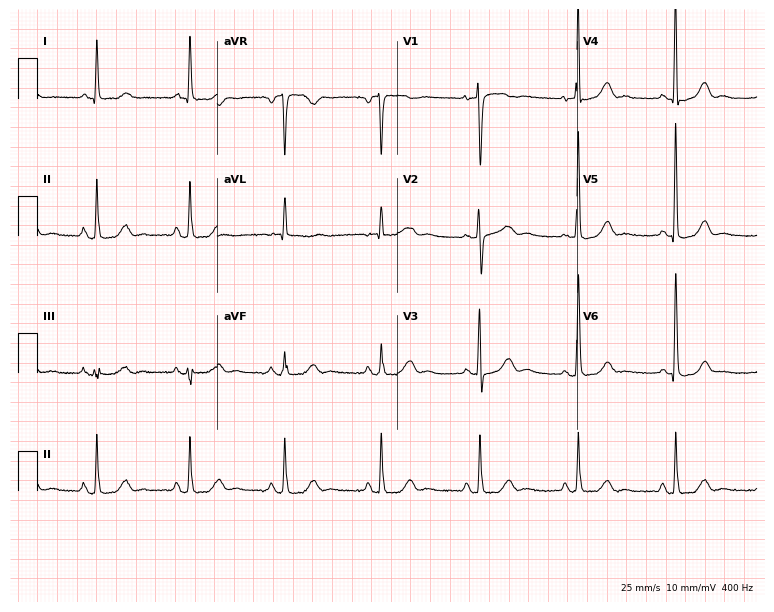
Resting 12-lead electrocardiogram (7.3-second recording at 400 Hz). Patient: a 76-year-old female. None of these six findings is recorded: first-degree AV block, right bundle branch block, left bundle branch block, sinus bradycardia, atrial fibrillation, sinus tachycardia. Other findings, if any, are not listed.